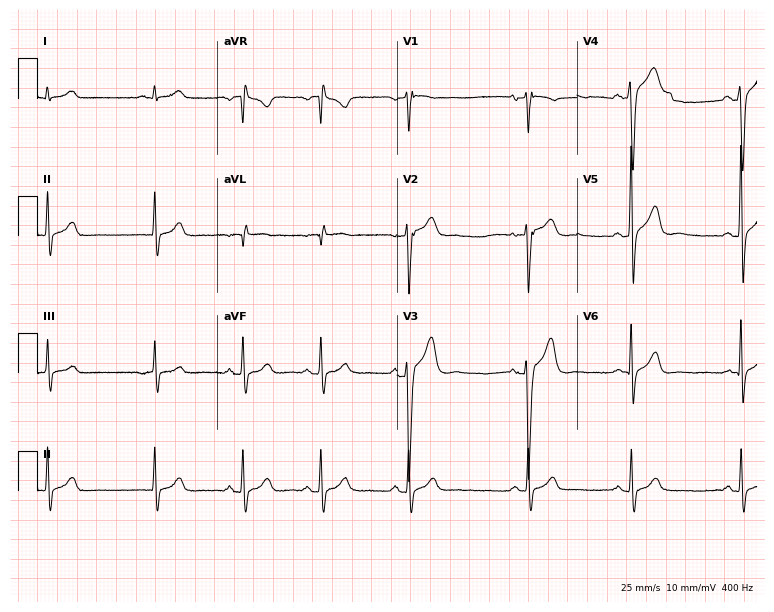
Electrocardiogram (7.3-second recording at 400 Hz), a male patient, 29 years old. Of the six screened findings (first-degree AV block, right bundle branch block, left bundle branch block, sinus bradycardia, atrial fibrillation, sinus tachycardia), none is recorded.